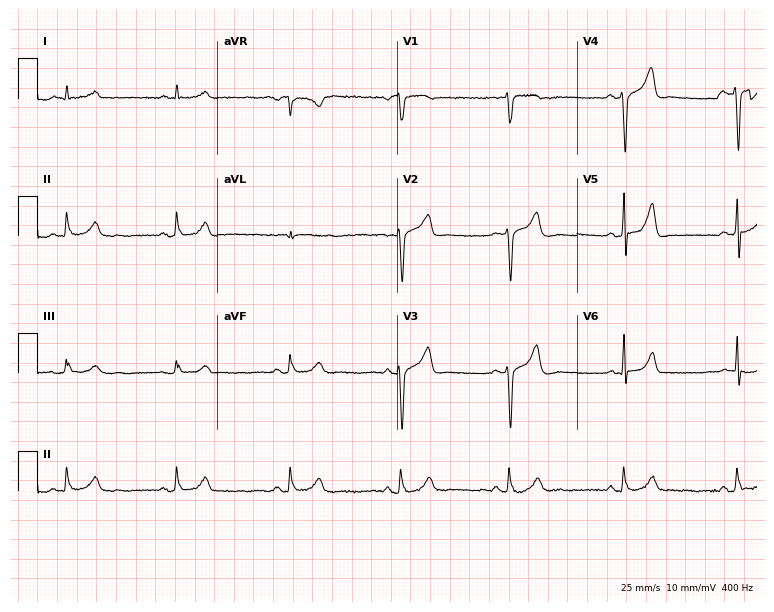
Electrocardiogram, a 53-year-old male patient. Of the six screened findings (first-degree AV block, right bundle branch block (RBBB), left bundle branch block (LBBB), sinus bradycardia, atrial fibrillation (AF), sinus tachycardia), none is recorded.